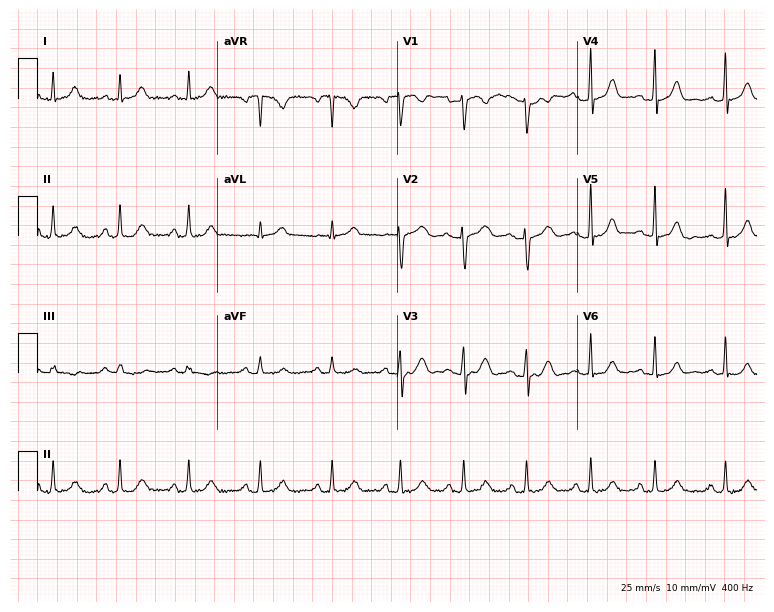
Electrocardiogram (7.3-second recording at 400 Hz), a woman, 37 years old. Overall reading on record: normal ECG.